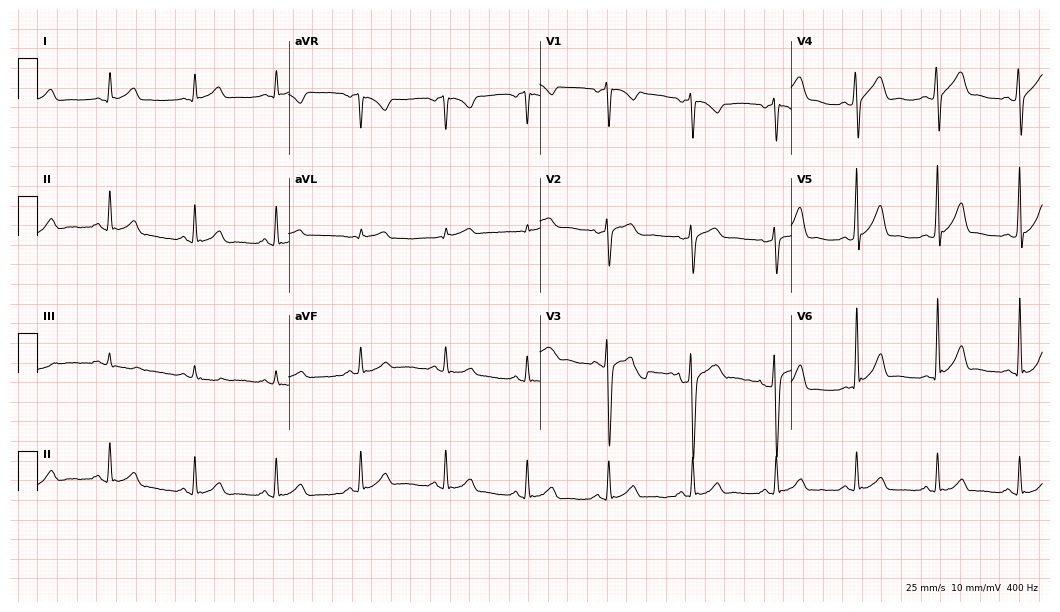
12-lead ECG (10.2-second recording at 400 Hz) from a male patient, 36 years old. Labelled as a normal ECG.